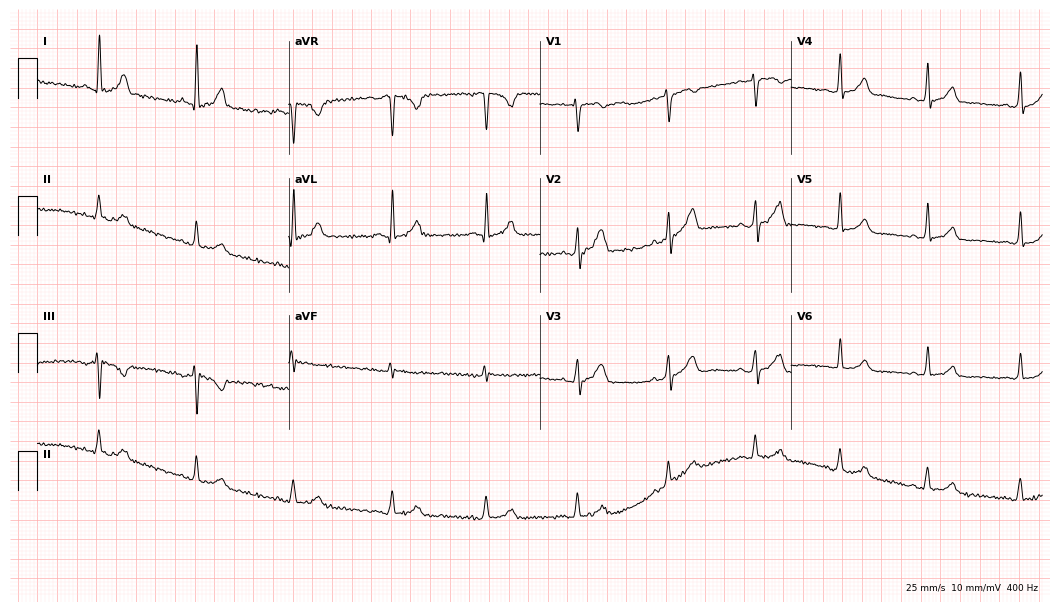
Electrocardiogram, a male, 42 years old. Overall reading on record: normal ECG.